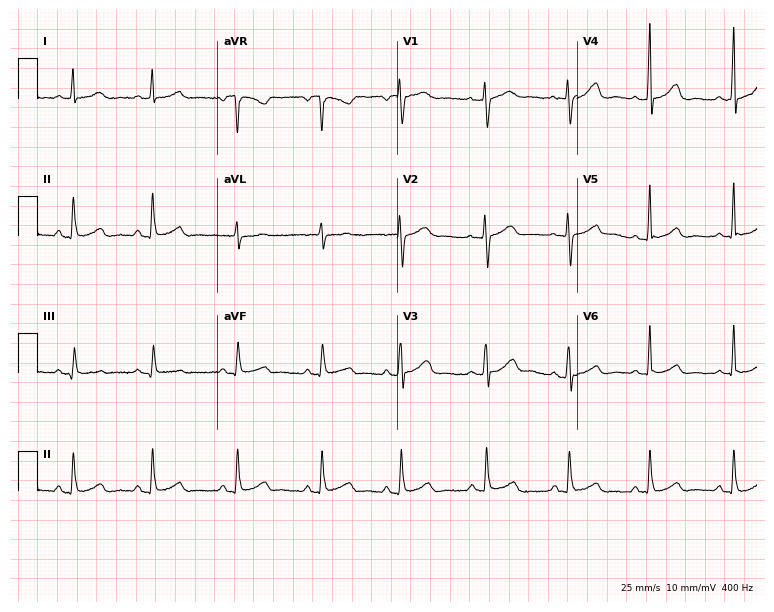
12-lead ECG (7.3-second recording at 400 Hz) from a 34-year-old female patient. Labelled as a normal ECG.